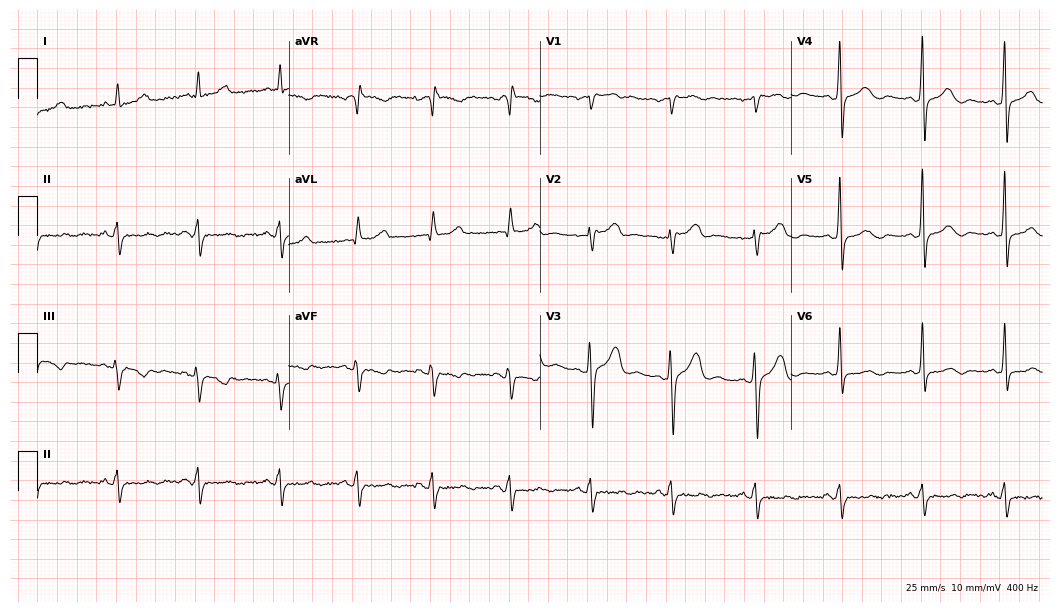
12-lead ECG (10.2-second recording at 400 Hz) from a male patient, 53 years old. Screened for six findings — first-degree AV block, right bundle branch block, left bundle branch block, sinus bradycardia, atrial fibrillation, sinus tachycardia — none is recorded. Findings outside these six are not listed.